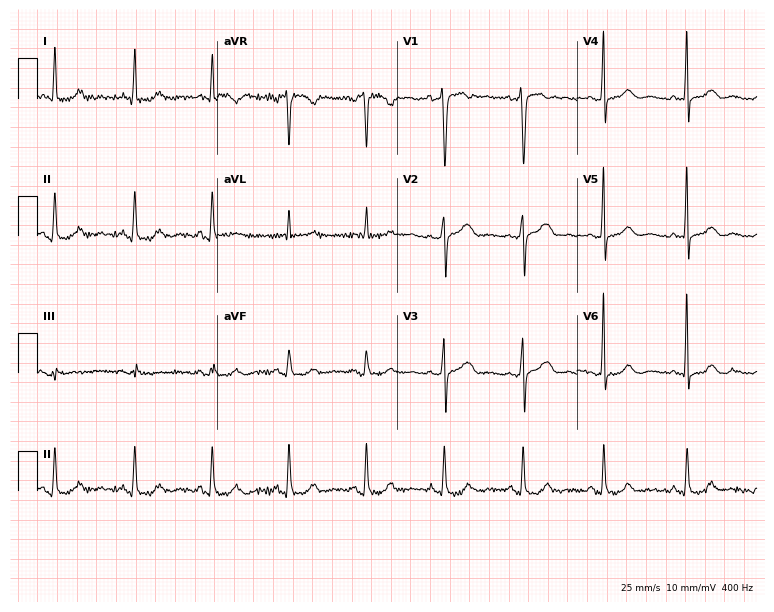
12-lead ECG from a woman, 65 years old (7.3-second recording at 400 Hz). Recorded interpretation: within normal limits.